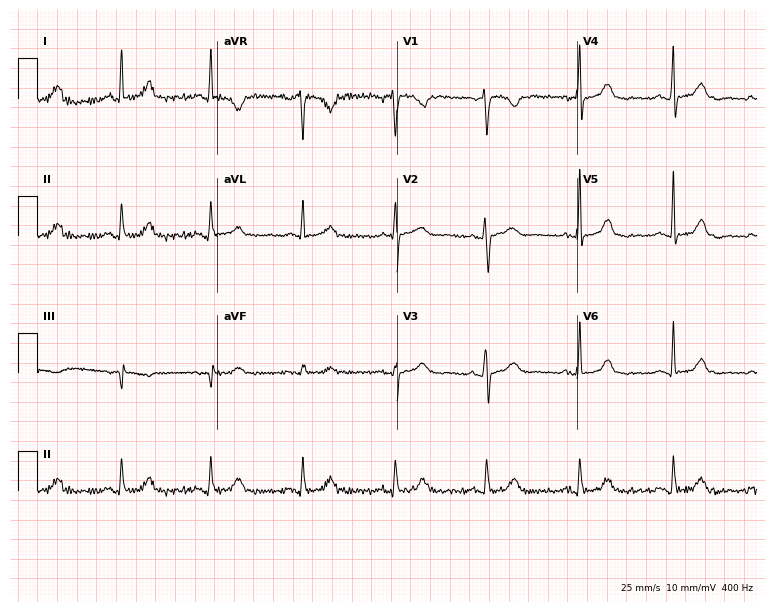
ECG — a female, 69 years old. Screened for six findings — first-degree AV block, right bundle branch block, left bundle branch block, sinus bradycardia, atrial fibrillation, sinus tachycardia — none is recorded. Other findings, if any, are not listed.